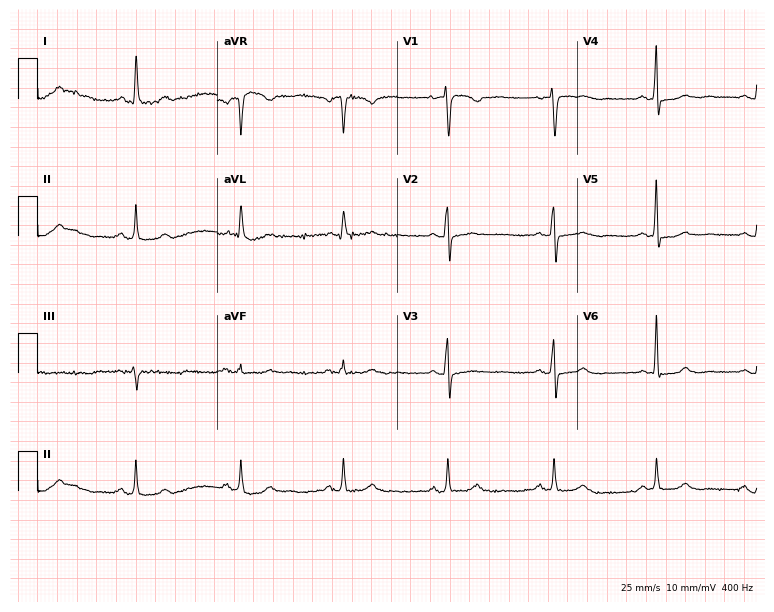
Standard 12-lead ECG recorded from a 64-year-old woman. None of these six findings is recorded: first-degree AV block, right bundle branch block, left bundle branch block, sinus bradycardia, atrial fibrillation, sinus tachycardia.